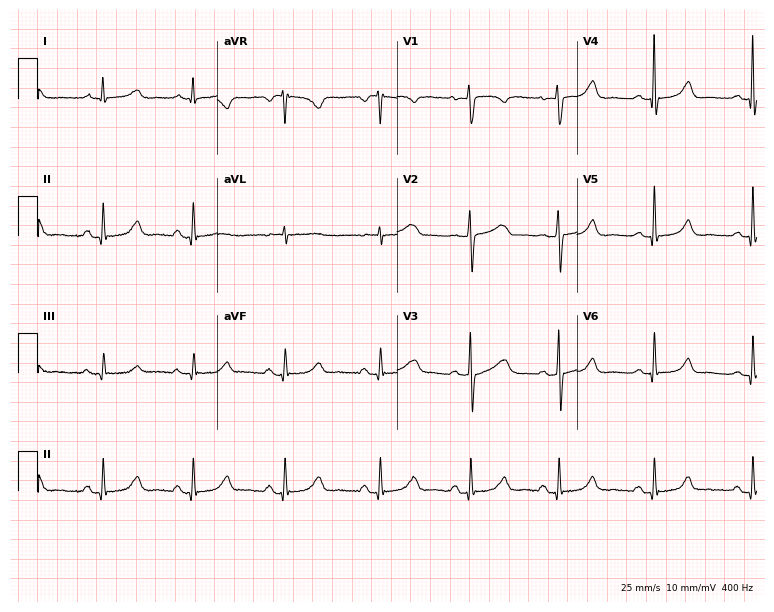
ECG (7.3-second recording at 400 Hz) — a female patient, 46 years old. Labelled as a normal ECG.